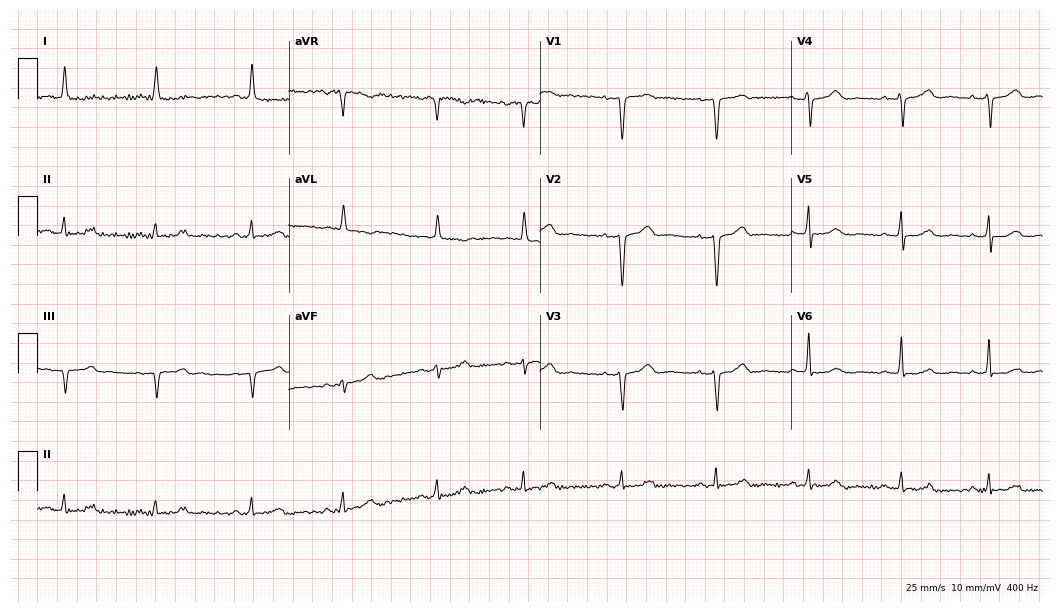
ECG (10.2-second recording at 400 Hz) — a female patient, 66 years old. Screened for six findings — first-degree AV block, right bundle branch block (RBBB), left bundle branch block (LBBB), sinus bradycardia, atrial fibrillation (AF), sinus tachycardia — none is recorded. Only these six findings were labelled.